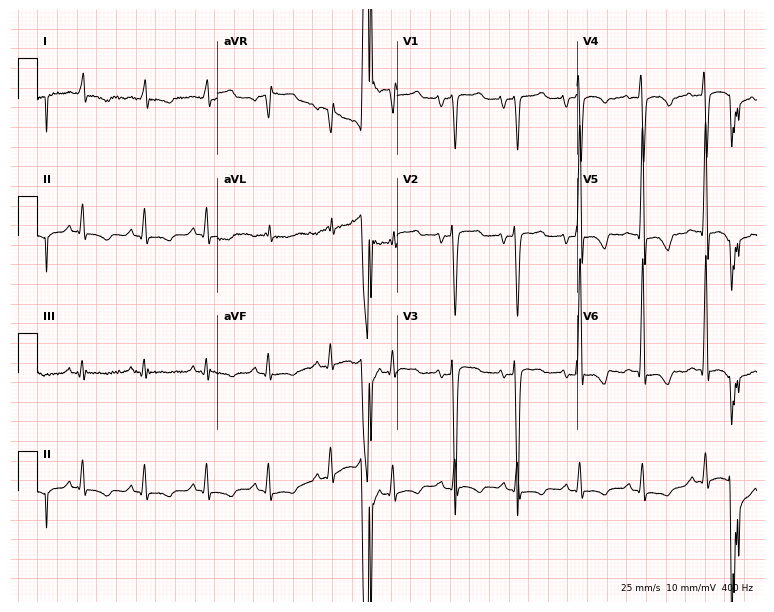
Standard 12-lead ECG recorded from a male, 53 years old. None of these six findings is recorded: first-degree AV block, right bundle branch block (RBBB), left bundle branch block (LBBB), sinus bradycardia, atrial fibrillation (AF), sinus tachycardia.